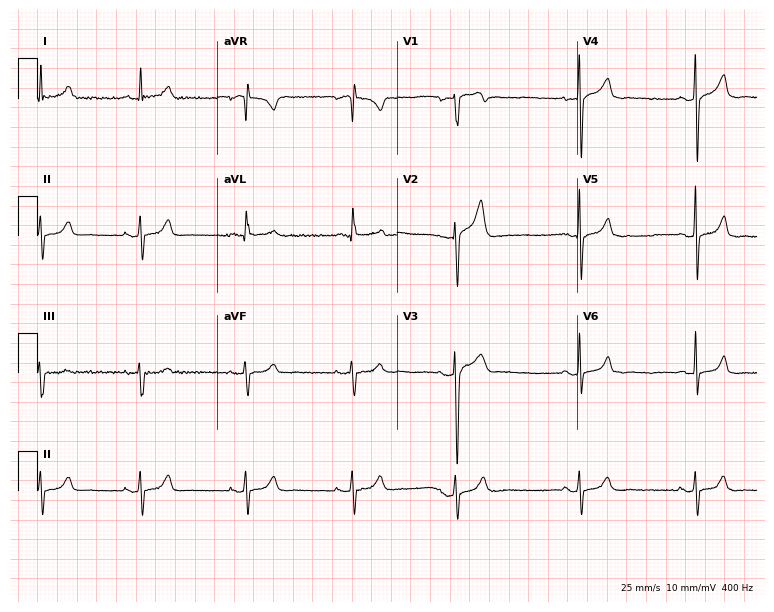
ECG — a male, 46 years old. Screened for six findings — first-degree AV block, right bundle branch block, left bundle branch block, sinus bradycardia, atrial fibrillation, sinus tachycardia — none is recorded.